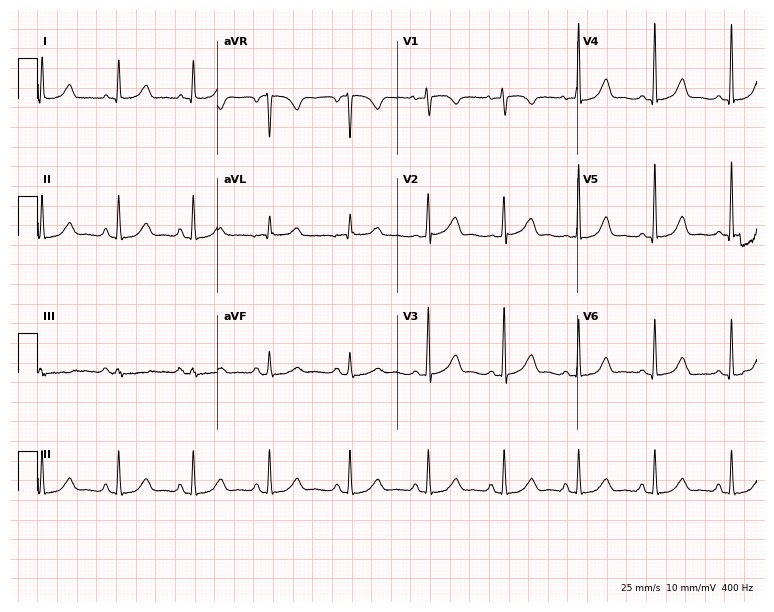
12-lead ECG (7.3-second recording at 400 Hz) from a female, 62 years old. Labelled as a normal ECG.